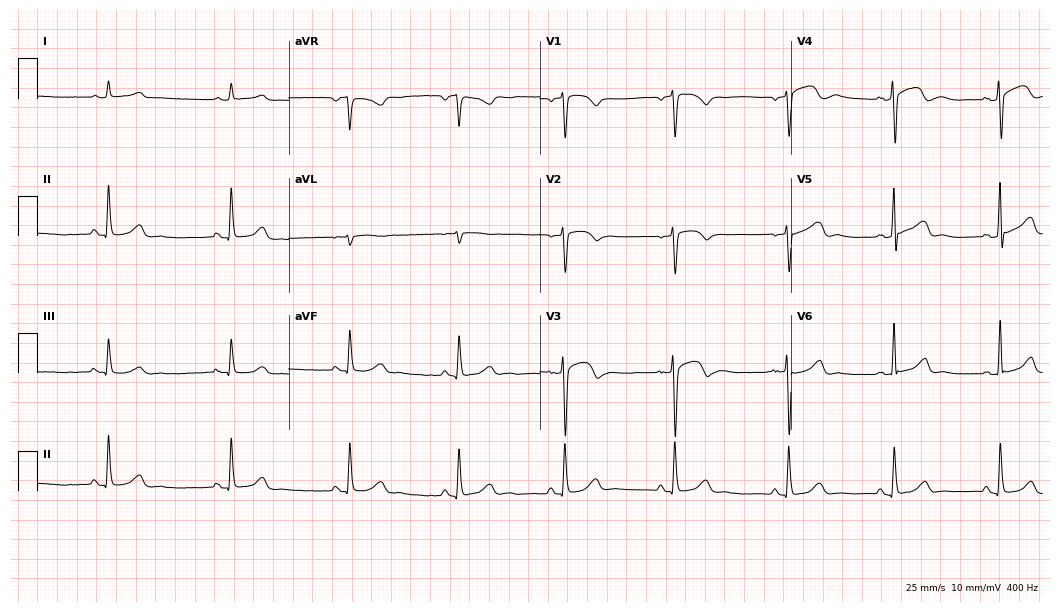
Electrocardiogram (10.2-second recording at 400 Hz), a 66-year-old female. Of the six screened findings (first-degree AV block, right bundle branch block, left bundle branch block, sinus bradycardia, atrial fibrillation, sinus tachycardia), none is recorded. Only these six findings were labelled.